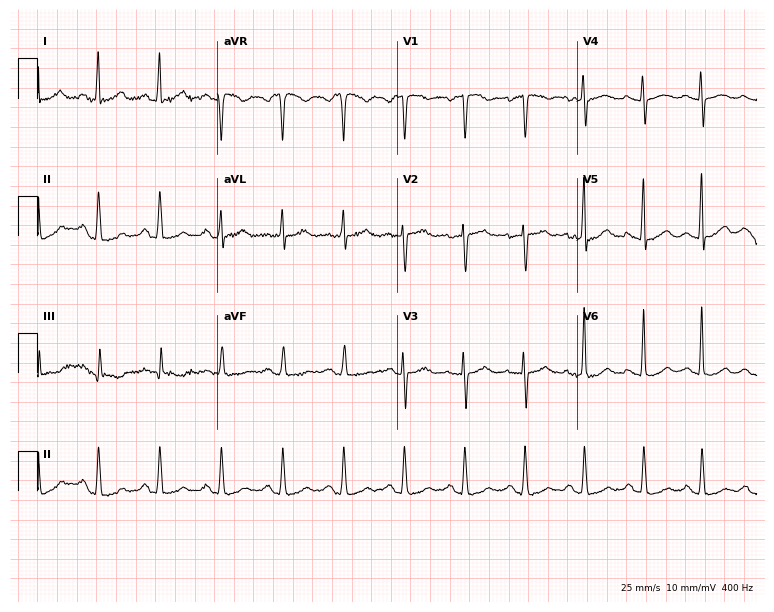
12-lead ECG from a 47-year-old woman. Screened for six findings — first-degree AV block, right bundle branch block (RBBB), left bundle branch block (LBBB), sinus bradycardia, atrial fibrillation (AF), sinus tachycardia — none is recorded.